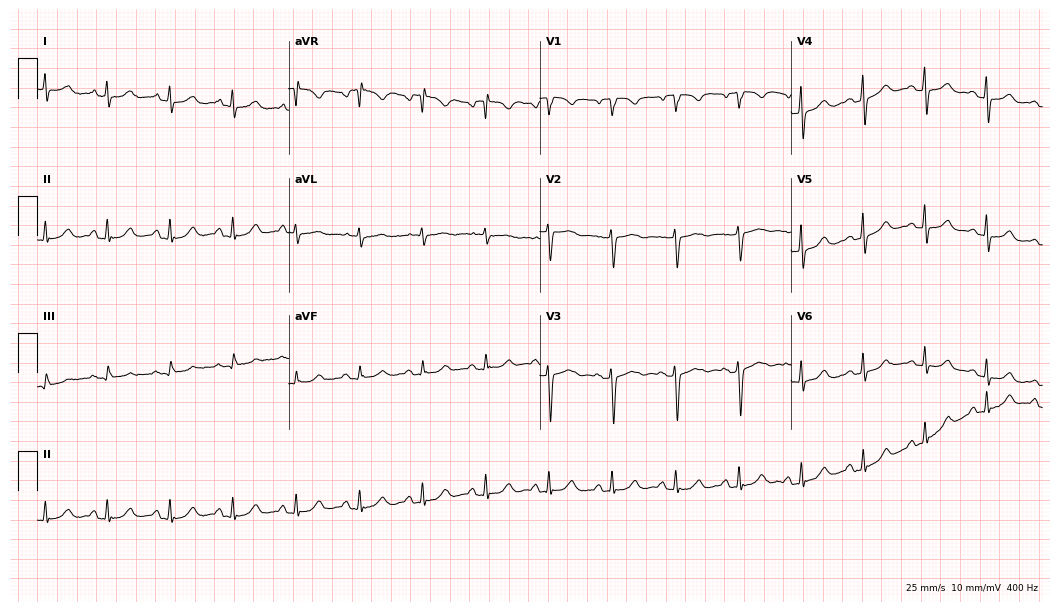
ECG (10.2-second recording at 400 Hz) — a 51-year-old female patient. Labelled as a normal ECG.